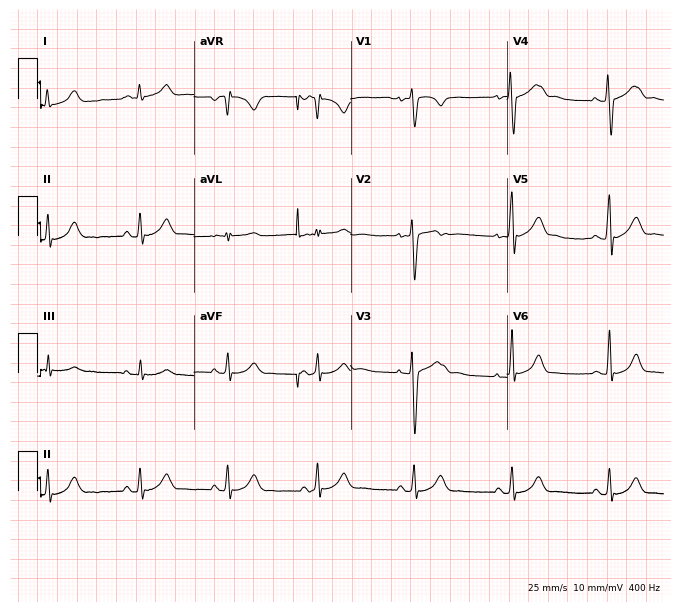
12-lead ECG from a male patient, 26 years old (6.4-second recording at 400 Hz). Recorded interpretation: within normal limits.